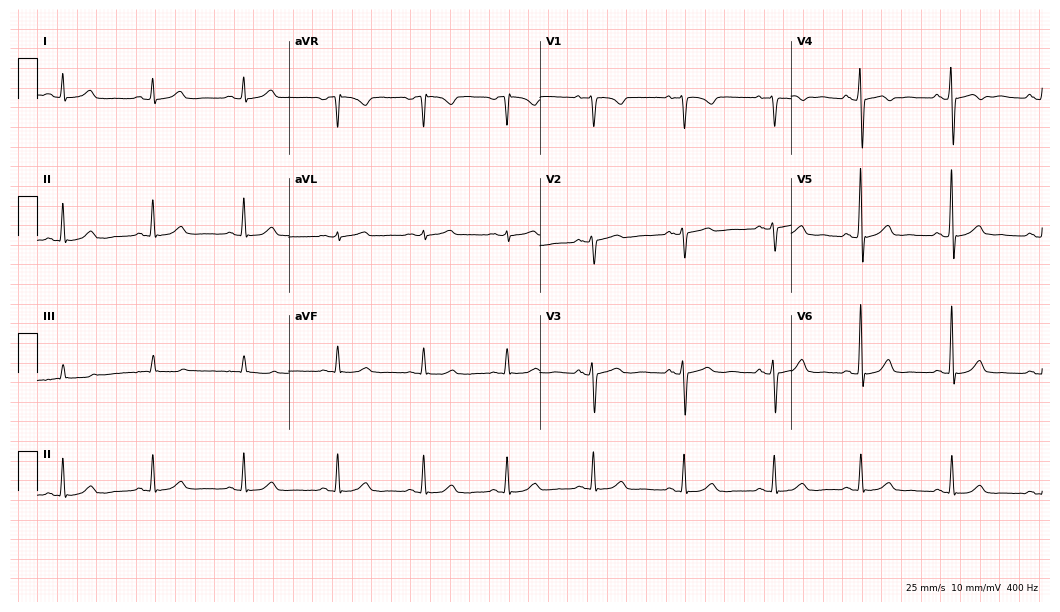
Standard 12-lead ECG recorded from a female patient, 43 years old. Read as a normal ECG.